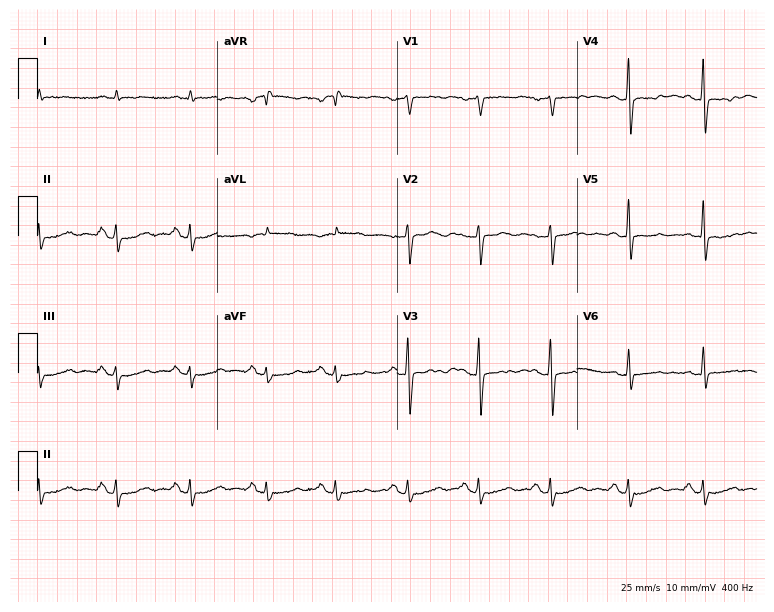
12-lead ECG from a male, 77 years old. Screened for six findings — first-degree AV block, right bundle branch block, left bundle branch block, sinus bradycardia, atrial fibrillation, sinus tachycardia — none is recorded.